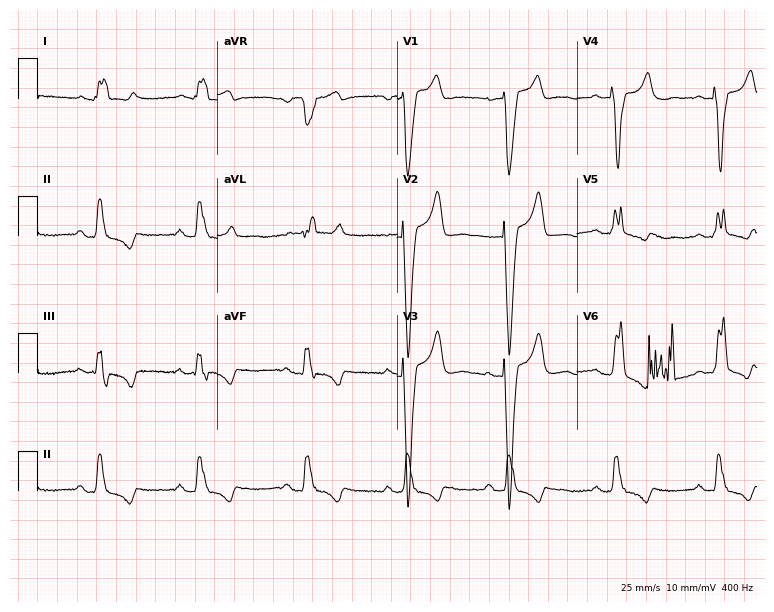
Electrocardiogram (7.3-second recording at 400 Hz), a 73-year-old female patient. Interpretation includes left bundle branch block.